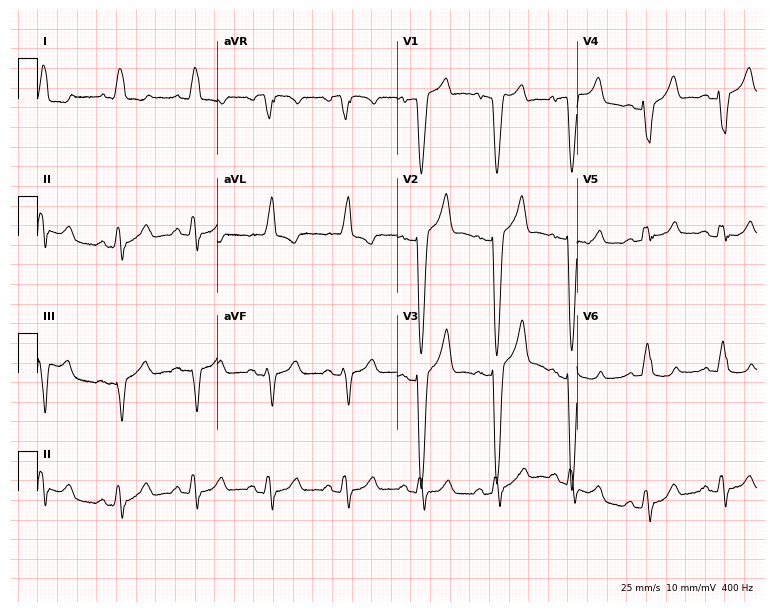
ECG — a 50-year-old female patient. Findings include left bundle branch block.